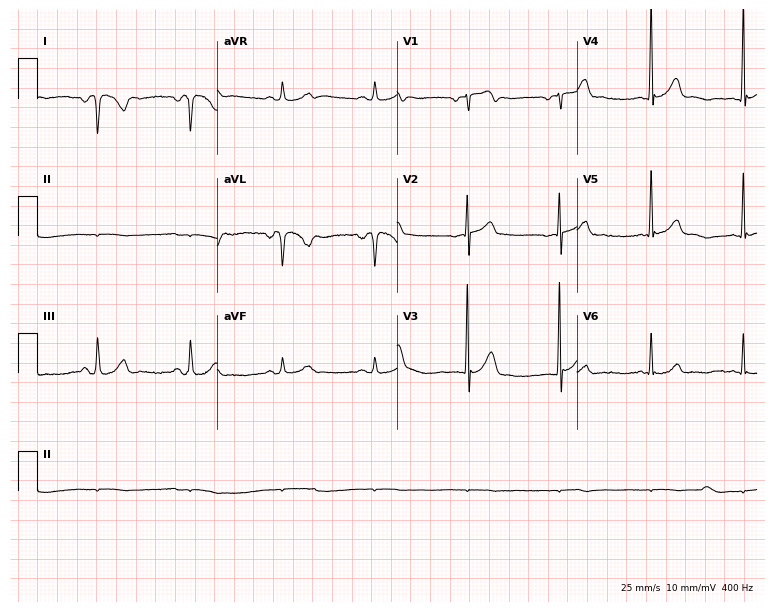
12-lead ECG from a 76-year-old male patient (7.3-second recording at 400 Hz). No first-degree AV block, right bundle branch block, left bundle branch block, sinus bradycardia, atrial fibrillation or sinus tachycardia recorded for this tracing.